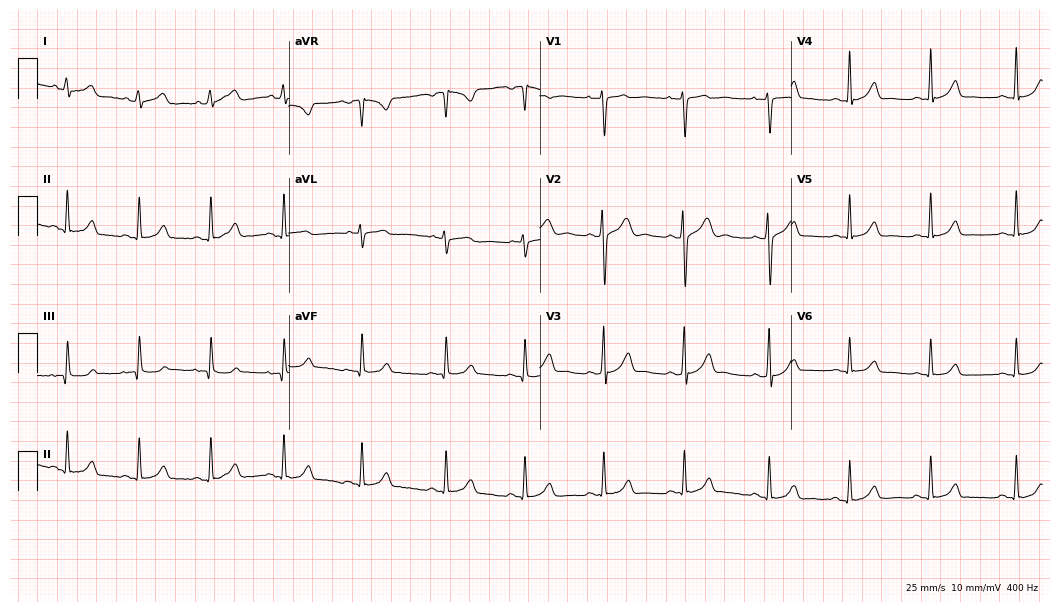
Resting 12-lead electrocardiogram (10.2-second recording at 400 Hz). Patient: a 20-year-old woman. Read as a normal ECG.